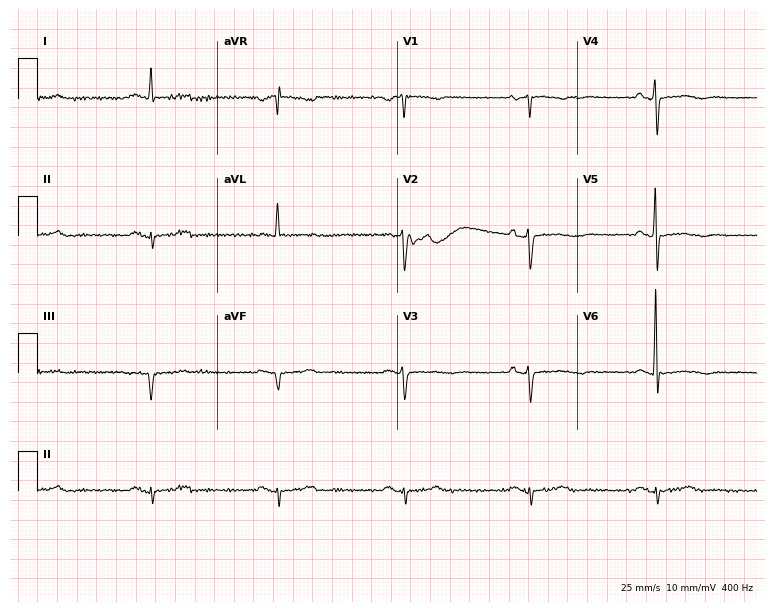
Standard 12-lead ECG recorded from a 74-year-old man (7.3-second recording at 400 Hz). None of these six findings is recorded: first-degree AV block, right bundle branch block, left bundle branch block, sinus bradycardia, atrial fibrillation, sinus tachycardia. Other findings, if any, are not listed.